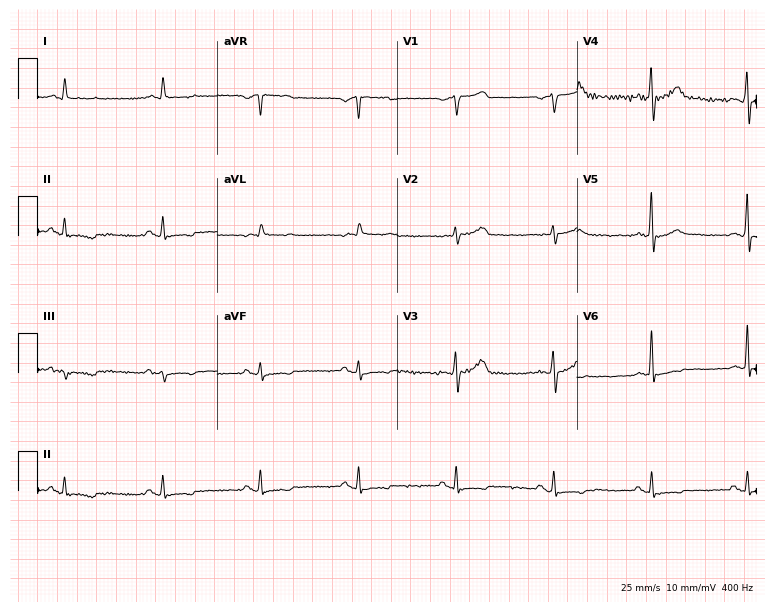
Standard 12-lead ECG recorded from a male patient, 78 years old (7.3-second recording at 400 Hz). None of these six findings is recorded: first-degree AV block, right bundle branch block, left bundle branch block, sinus bradycardia, atrial fibrillation, sinus tachycardia. Other findings, if any, are not listed.